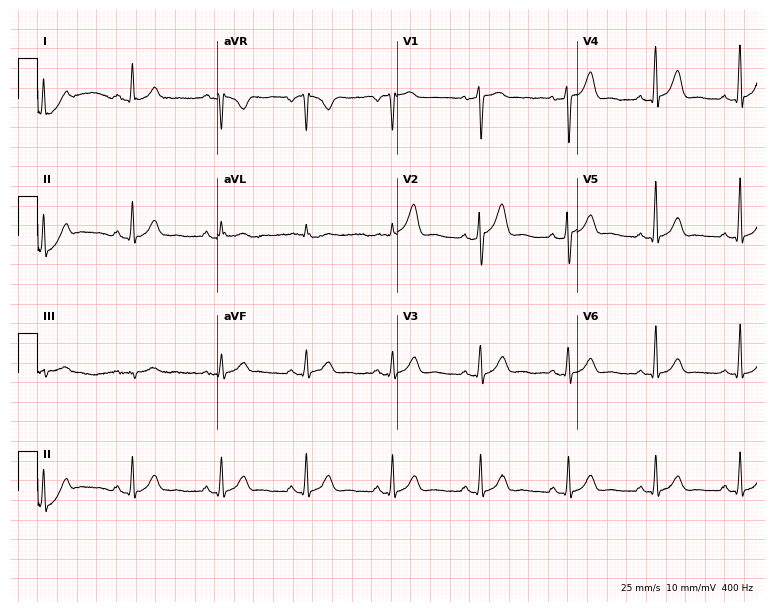
12-lead ECG from a 42-year-old man (7.3-second recording at 400 Hz). Recorded interpretation: within normal limits.